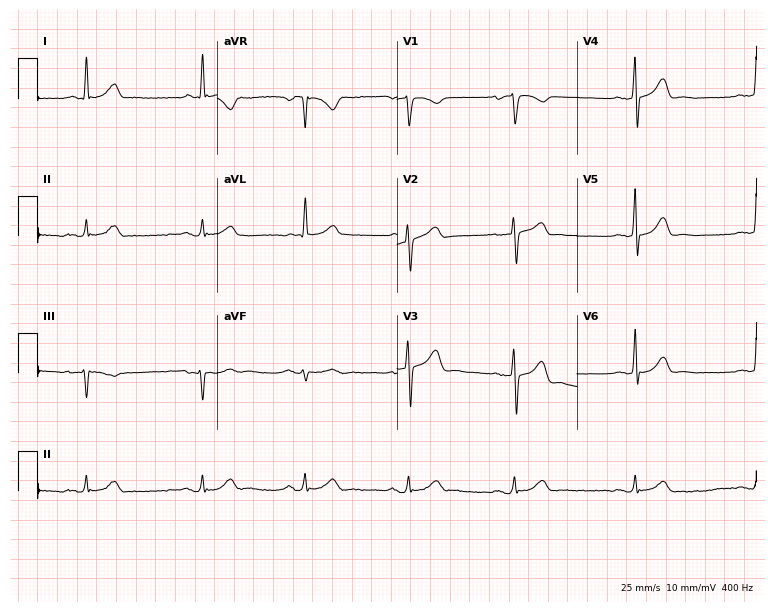
Electrocardiogram (7.3-second recording at 400 Hz), a male patient, 70 years old. Of the six screened findings (first-degree AV block, right bundle branch block (RBBB), left bundle branch block (LBBB), sinus bradycardia, atrial fibrillation (AF), sinus tachycardia), none is recorded. Findings outside these six are not listed.